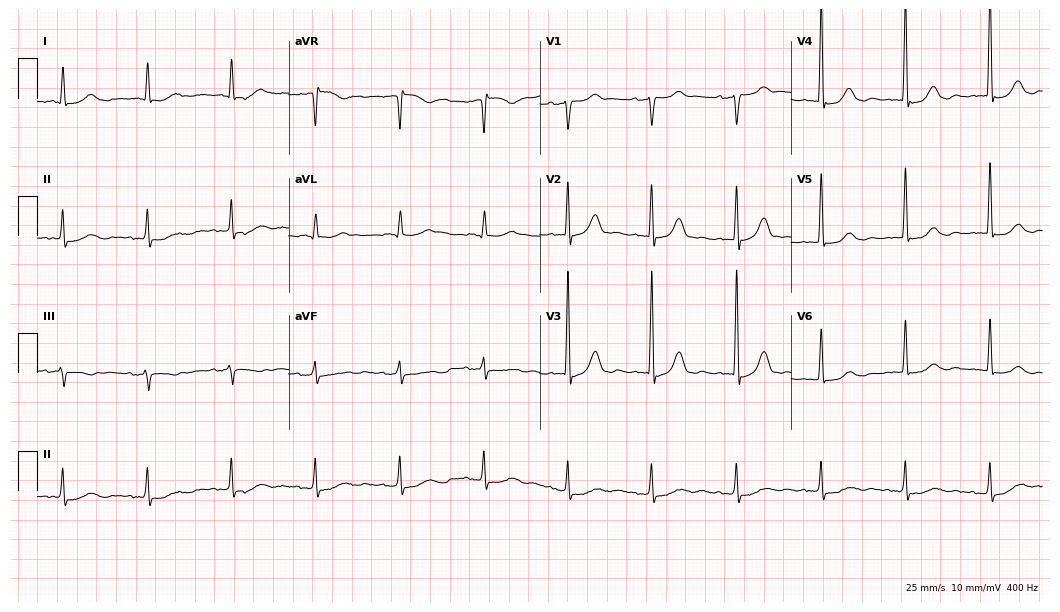
Standard 12-lead ECG recorded from an 82-year-old female. None of these six findings is recorded: first-degree AV block, right bundle branch block (RBBB), left bundle branch block (LBBB), sinus bradycardia, atrial fibrillation (AF), sinus tachycardia.